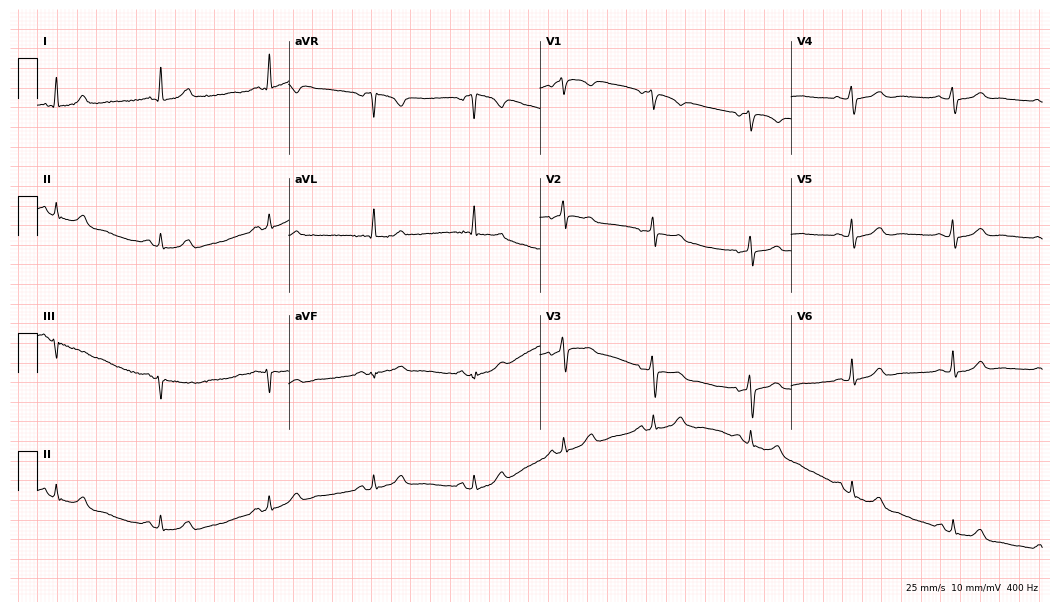
12-lead ECG from a female, 56 years old. Recorded interpretation: within normal limits.